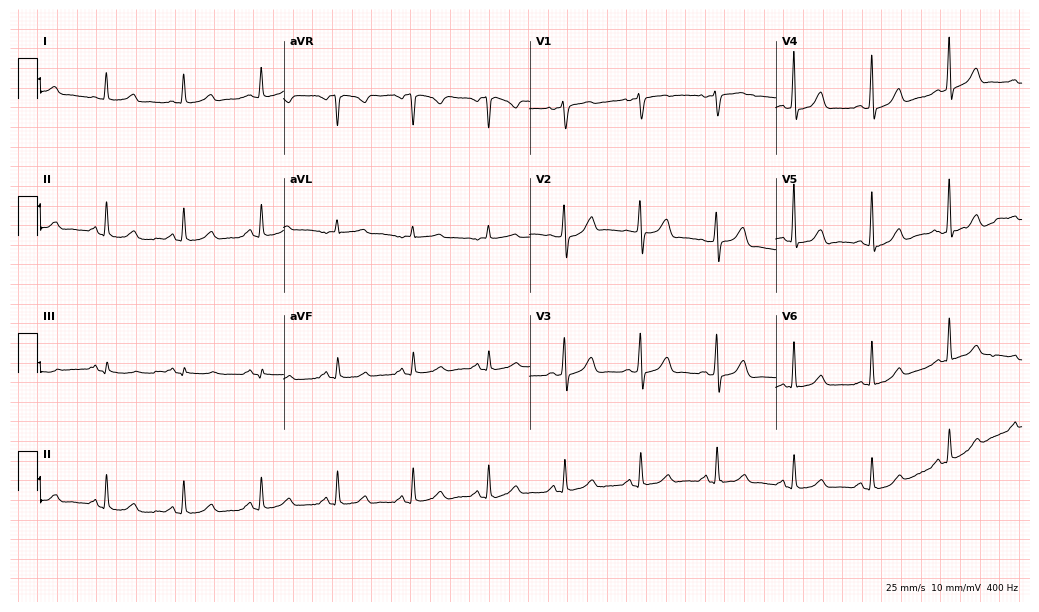
ECG — a male patient, 70 years old. Labelled as a normal ECG.